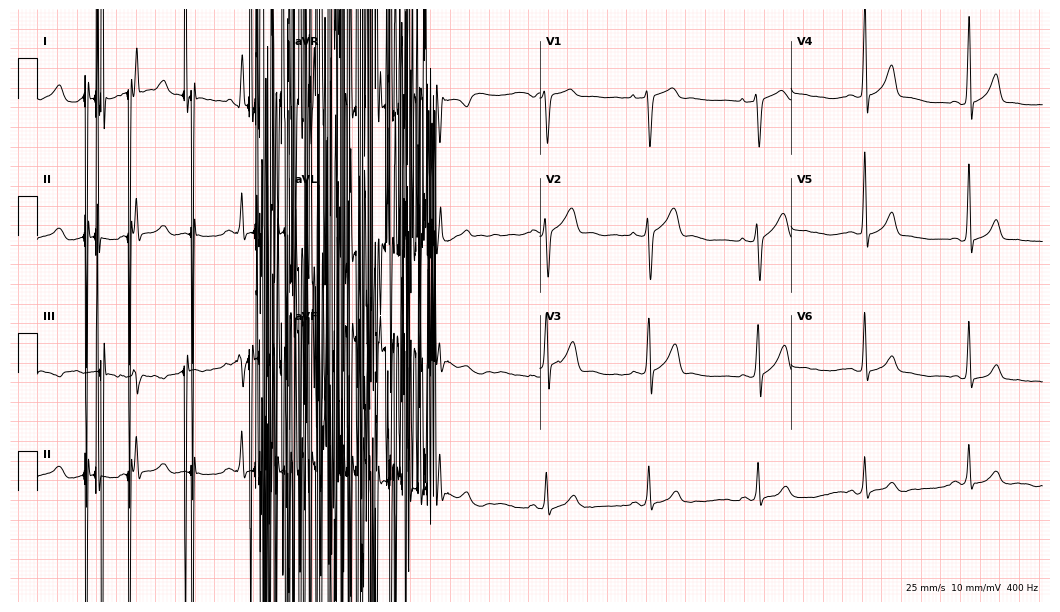
Standard 12-lead ECG recorded from a 31-year-old male (10.2-second recording at 400 Hz). None of these six findings is recorded: first-degree AV block, right bundle branch block, left bundle branch block, sinus bradycardia, atrial fibrillation, sinus tachycardia. Findings outside these six are not listed.